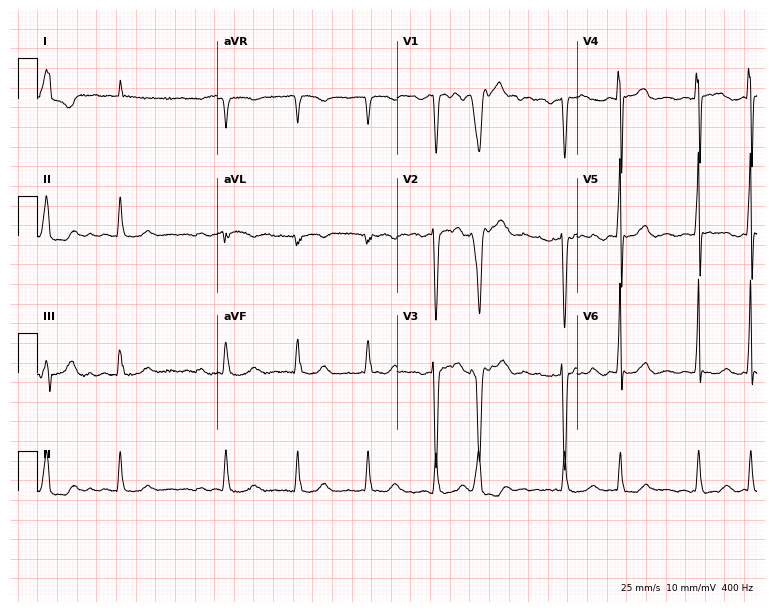
Standard 12-lead ECG recorded from a man, 65 years old (7.3-second recording at 400 Hz). The tracing shows atrial fibrillation.